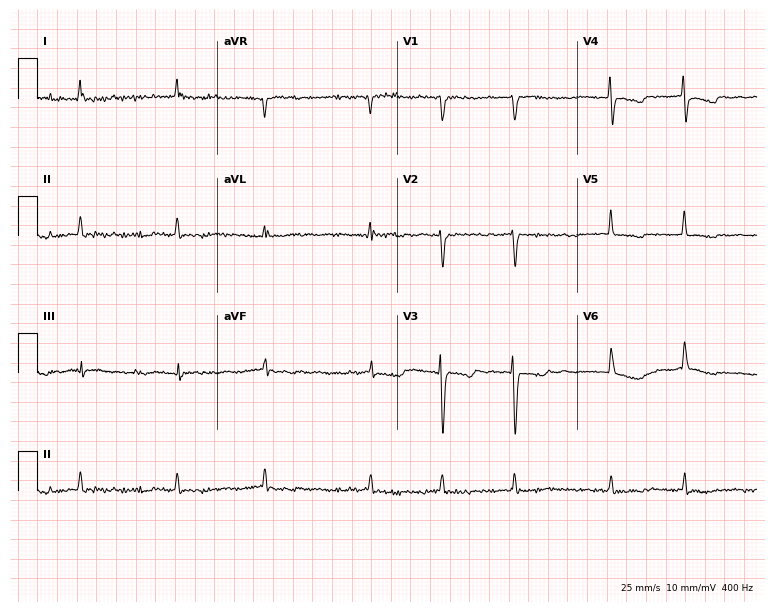
Electrocardiogram, a 64-year-old female. Interpretation includes atrial fibrillation.